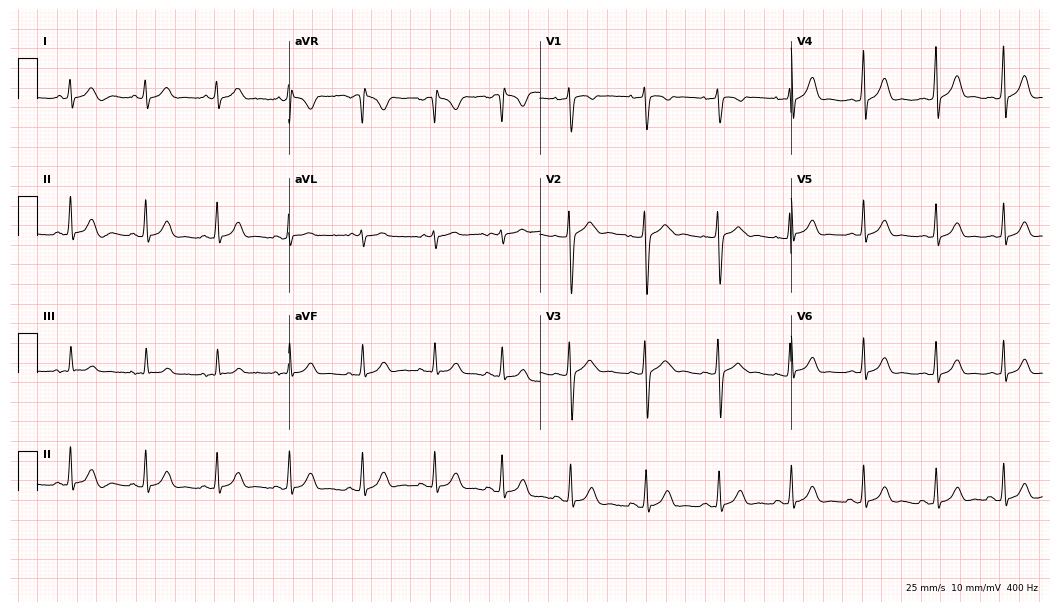
Standard 12-lead ECG recorded from a 20-year-old female. Read as a normal ECG.